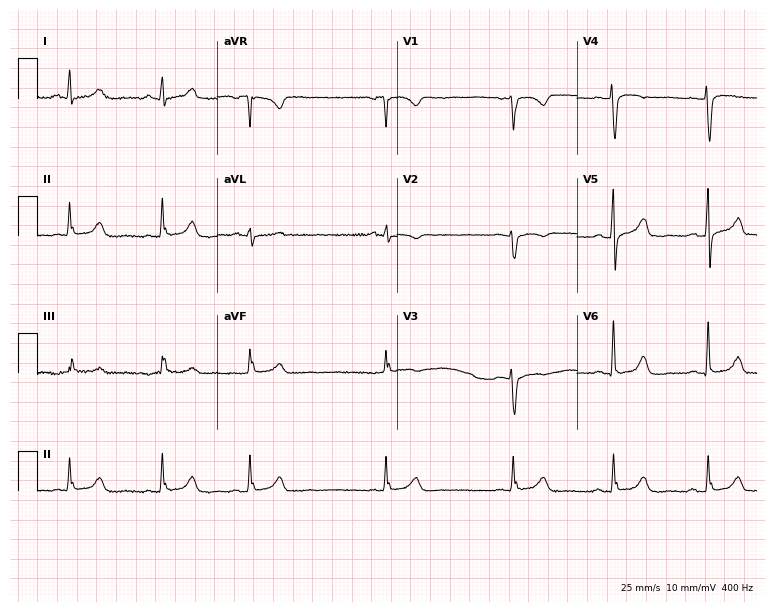
Electrocardiogram, a 46-year-old female. Of the six screened findings (first-degree AV block, right bundle branch block (RBBB), left bundle branch block (LBBB), sinus bradycardia, atrial fibrillation (AF), sinus tachycardia), none is recorded. Other findings, if any, are not listed.